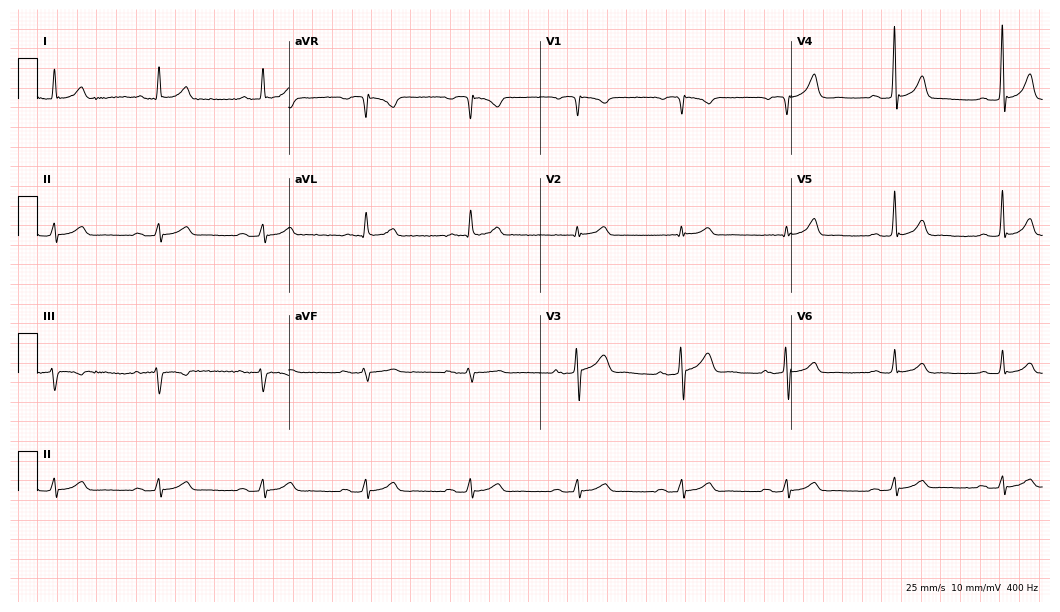
Resting 12-lead electrocardiogram (10.2-second recording at 400 Hz). Patient: a 55-year-old male. The tracing shows first-degree AV block.